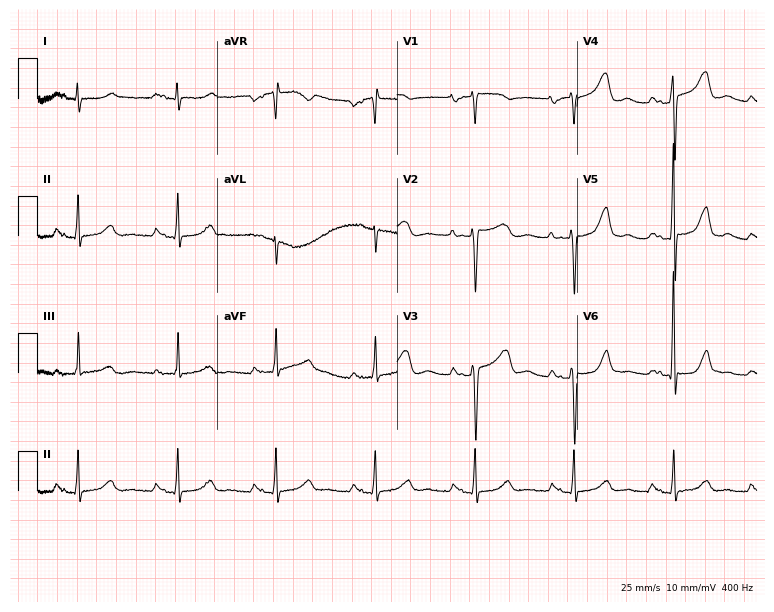
Standard 12-lead ECG recorded from a 48-year-old woman (7.3-second recording at 400 Hz). None of these six findings is recorded: first-degree AV block, right bundle branch block, left bundle branch block, sinus bradycardia, atrial fibrillation, sinus tachycardia.